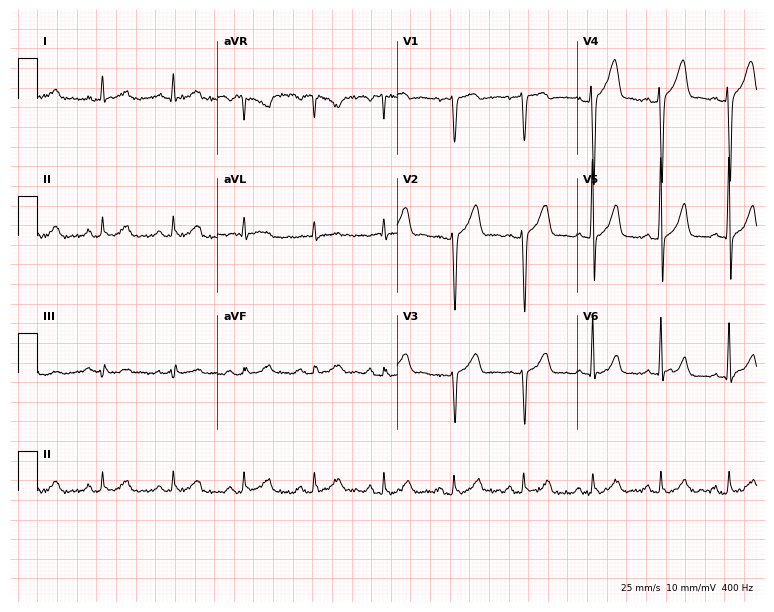
12-lead ECG (7.3-second recording at 400 Hz) from a 50-year-old male. Labelled as a normal ECG.